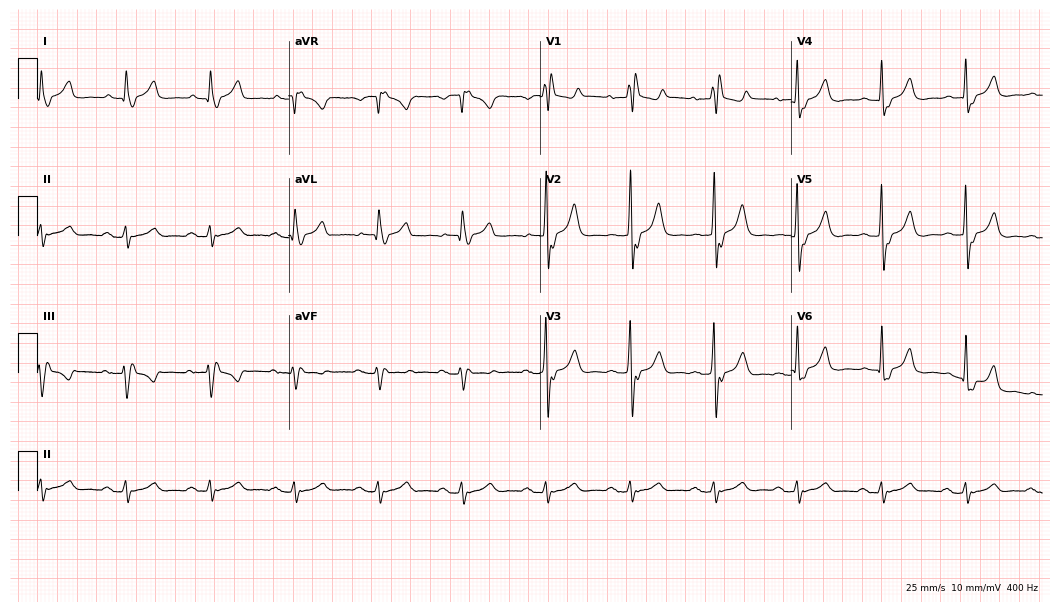
Resting 12-lead electrocardiogram (10.2-second recording at 400 Hz). Patient: a male, 73 years old. The tracing shows right bundle branch block.